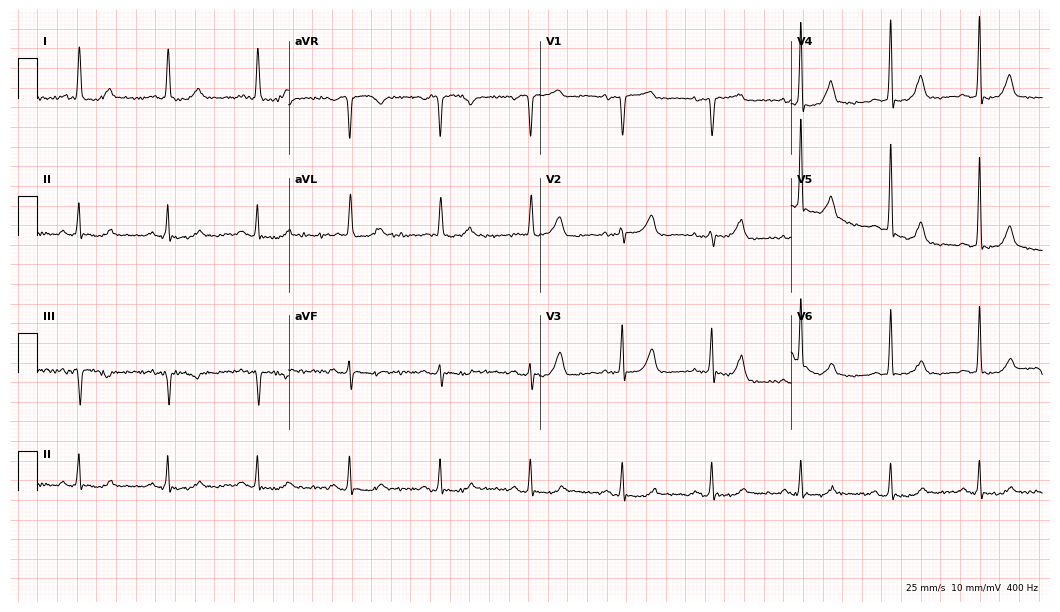
ECG (10.2-second recording at 400 Hz) — a female patient, 78 years old. Labelled as a normal ECG.